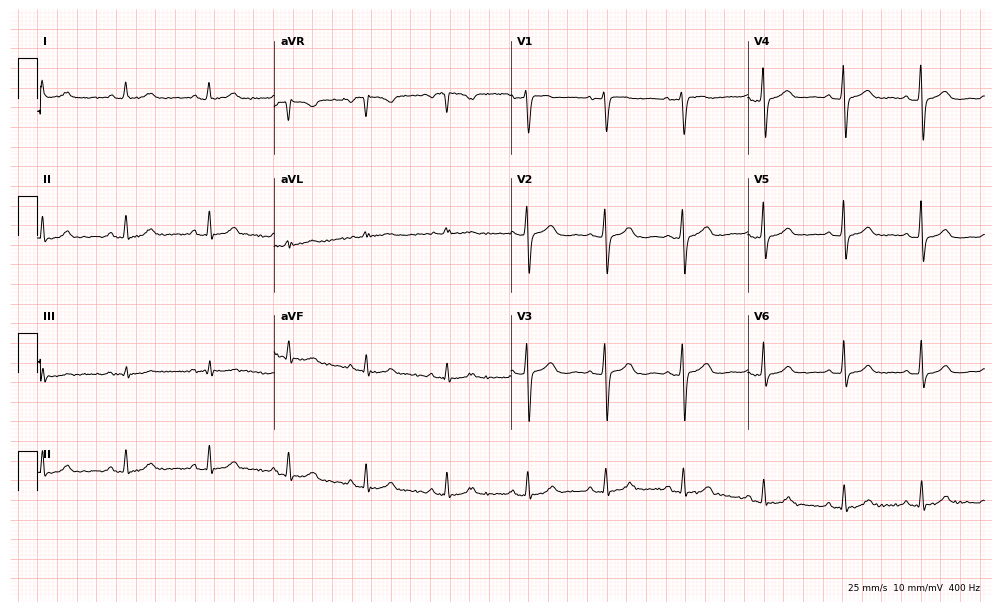
12-lead ECG (9.7-second recording at 400 Hz) from a 42-year-old female. Labelled as a normal ECG.